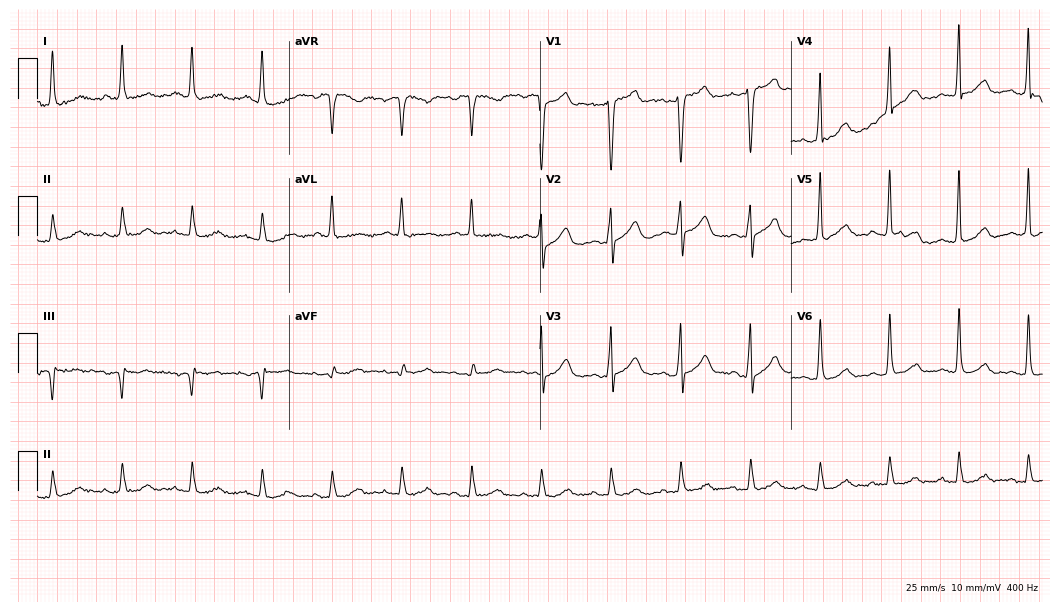
12-lead ECG from a 69-year-old male (10.2-second recording at 400 Hz). Recorded interpretation: within normal limits.